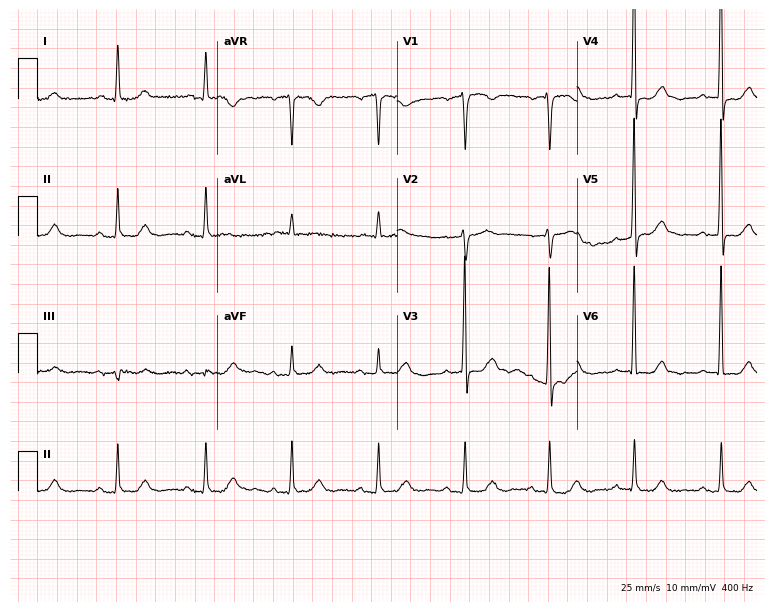
Resting 12-lead electrocardiogram. Patient: a 58-year-old woman. None of these six findings is recorded: first-degree AV block, right bundle branch block, left bundle branch block, sinus bradycardia, atrial fibrillation, sinus tachycardia.